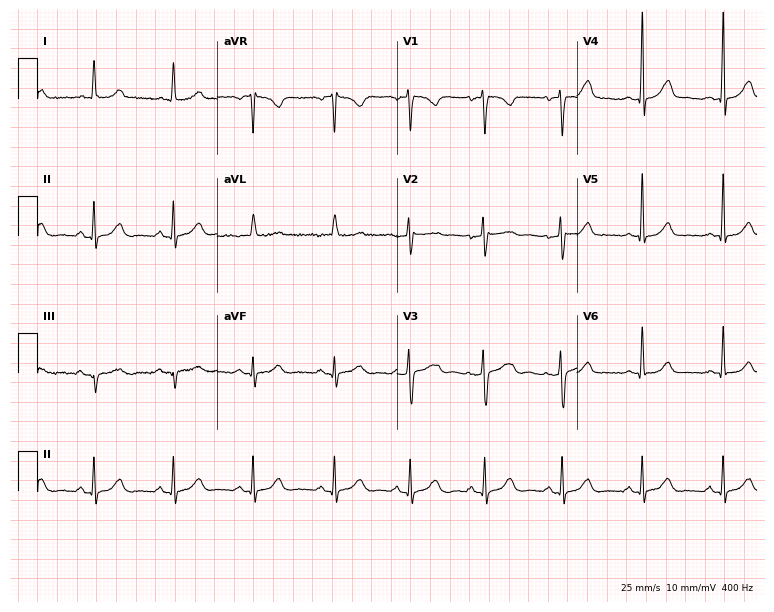
Electrocardiogram (7.3-second recording at 400 Hz), a female, 37 years old. Of the six screened findings (first-degree AV block, right bundle branch block (RBBB), left bundle branch block (LBBB), sinus bradycardia, atrial fibrillation (AF), sinus tachycardia), none is recorded. Other findings, if any, are not listed.